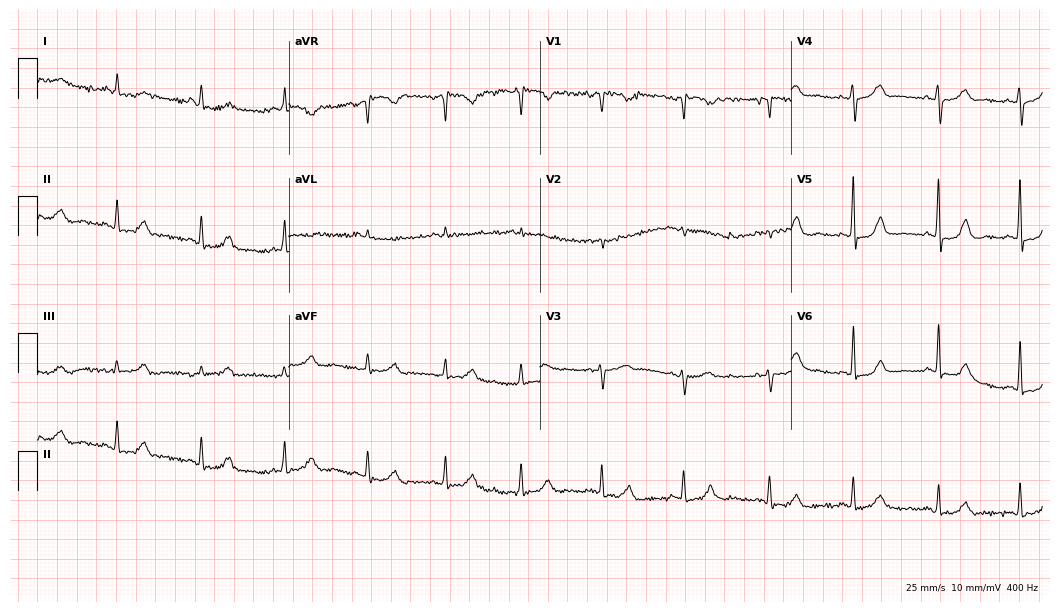
12-lead ECG from a 64-year-old woman. No first-degree AV block, right bundle branch block, left bundle branch block, sinus bradycardia, atrial fibrillation or sinus tachycardia recorded for this tracing.